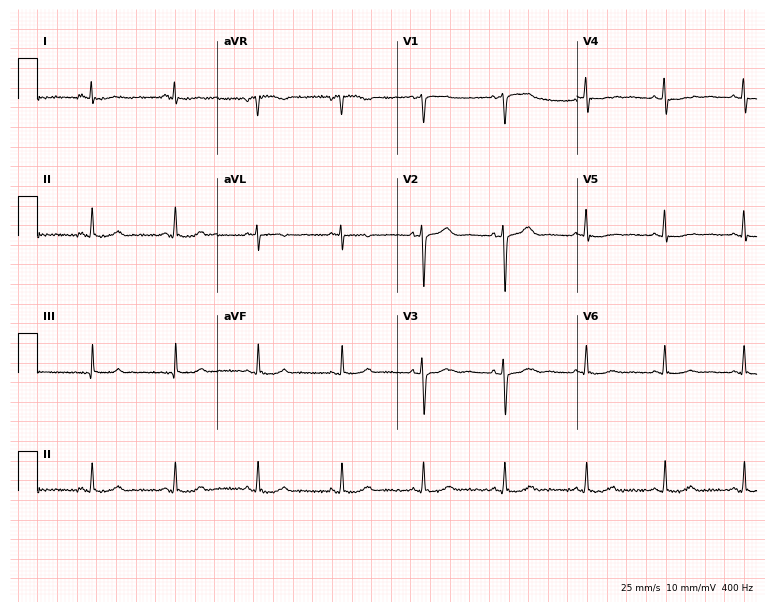
12-lead ECG (7.3-second recording at 400 Hz) from a 50-year-old woman. Labelled as a normal ECG.